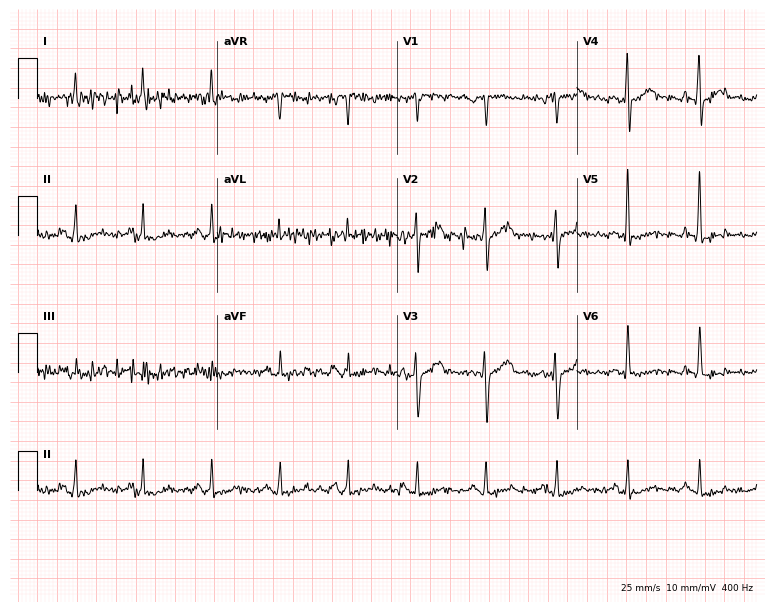
Resting 12-lead electrocardiogram. Patient: a 56-year-old male. None of these six findings is recorded: first-degree AV block, right bundle branch block, left bundle branch block, sinus bradycardia, atrial fibrillation, sinus tachycardia.